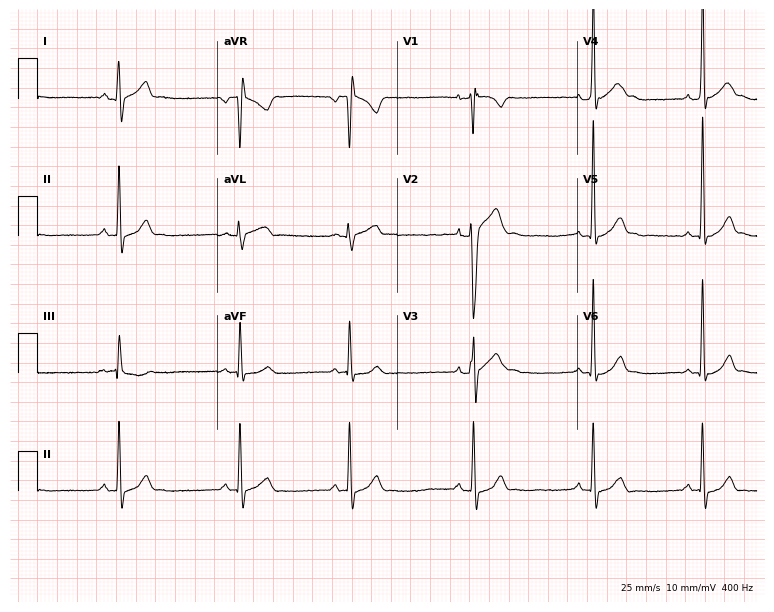
12-lead ECG from a man, 18 years old. Recorded interpretation: within normal limits.